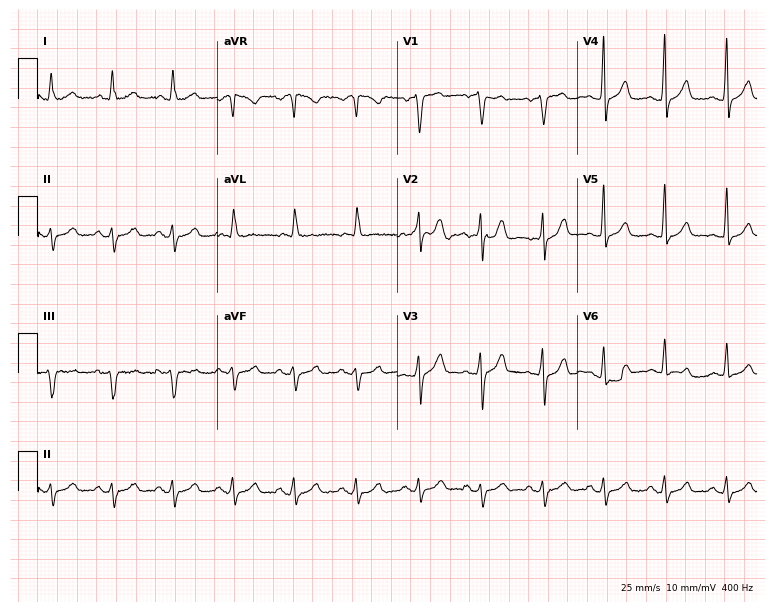
ECG — a woman, 63 years old. Screened for six findings — first-degree AV block, right bundle branch block (RBBB), left bundle branch block (LBBB), sinus bradycardia, atrial fibrillation (AF), sinus tachycardia — none is recorded. Other findings, if any, are not listed.